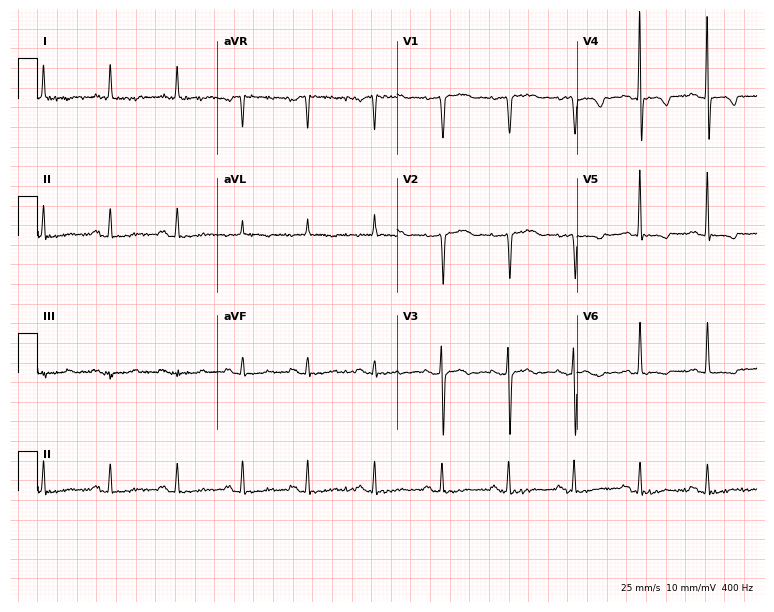
Resting 12-lead electrocardiogram. Patient: a female, 77 years old. None of these six findings is recorded: first-degree AV block, right bundle branch block (RBBB), left bundle branch block (LBBB), sinus bradycardia, atrial fibrillation (AF), sinus tachycardia. Findings outside these six are not listed.